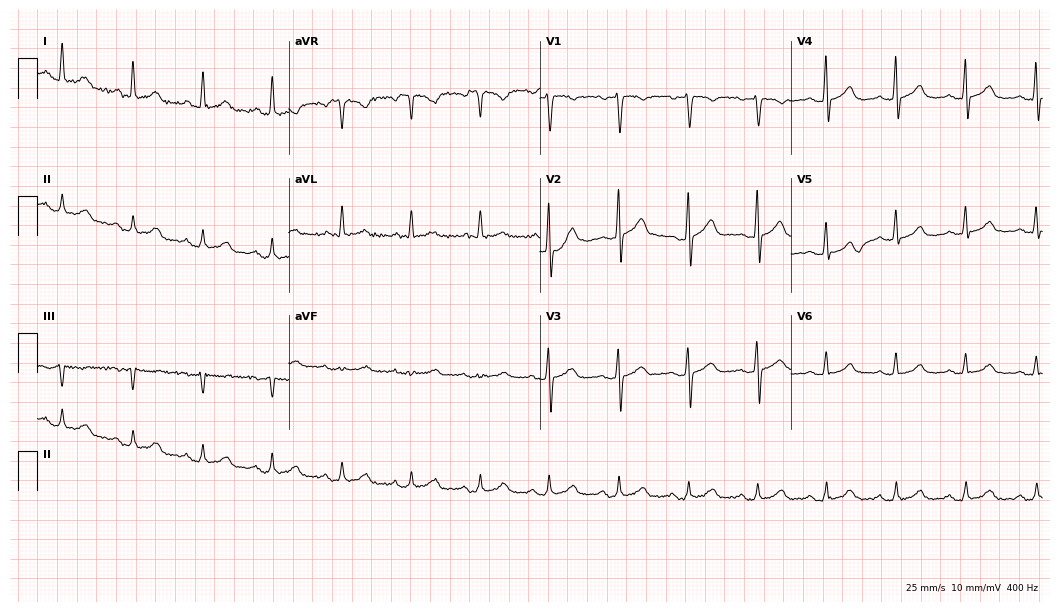
ECG (10.2-second recording at 400 Hz) — a woman, 68 years old. Screened for six findings — first-degree AV block, right bundle branch block (RBBB), left bundle branch block (LBBB), sinus bradycardia, atrial fibrillation (AF), sinus tachycardia — none is recorded. Findings outside these six are not listed.